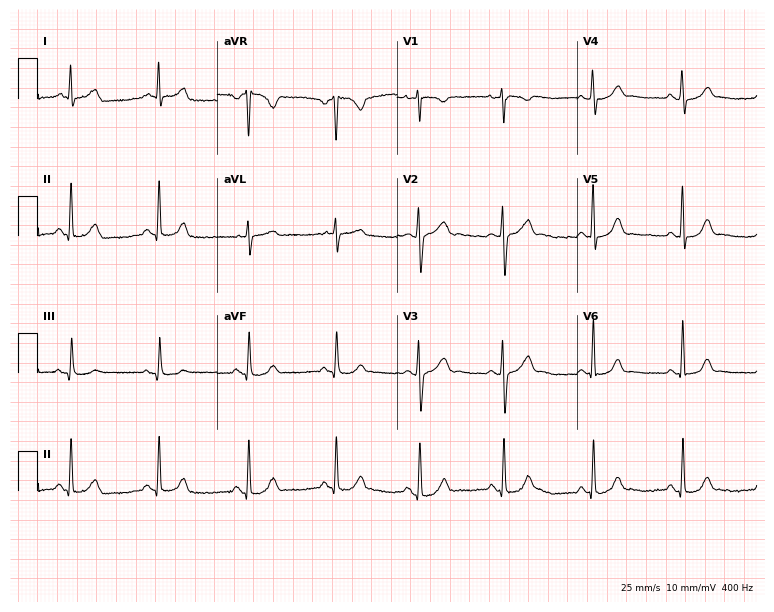
Resting 12-lead electrocardiogram. Patient: a female, 37 years old. None of these six findings is recorded: first-degree AV block, right bundle branch block, left bundle branch block, sinus bradycardia, atrial fibrillation, sinus tachycardia. Only these six findings were labelled.